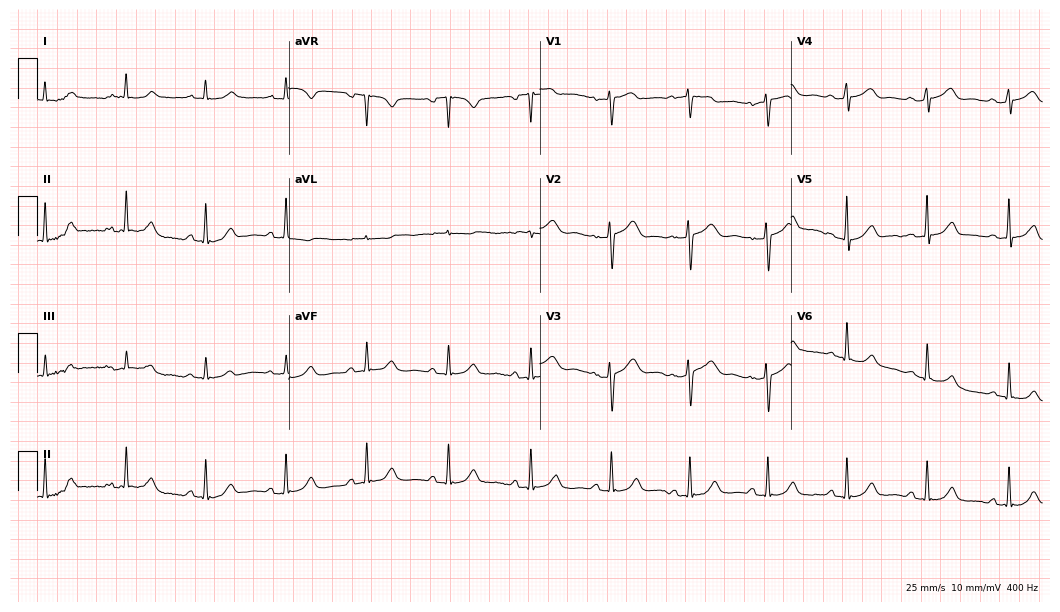
12-lead ECG from a woman, 49 years old. Screened for six findings — first-degree AV block, right bundle branch block, left bundle branch block, sinus bradycardia, atrial fibrillation, sinus tachycardia — none is recorded. Other findings, if any, are not listed.